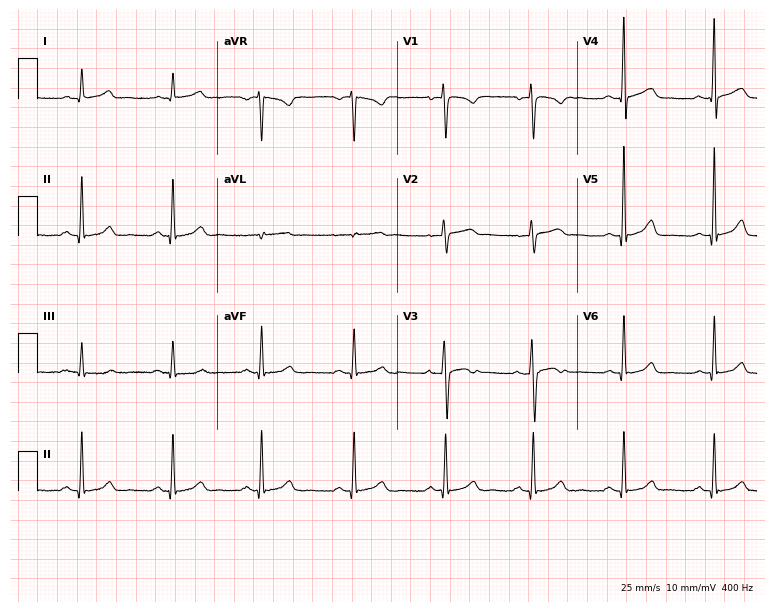
Electrocardiogram (7.3-second recording at 400 Hz), a 48-year-old woman. Overall reading on record: normal ECG.